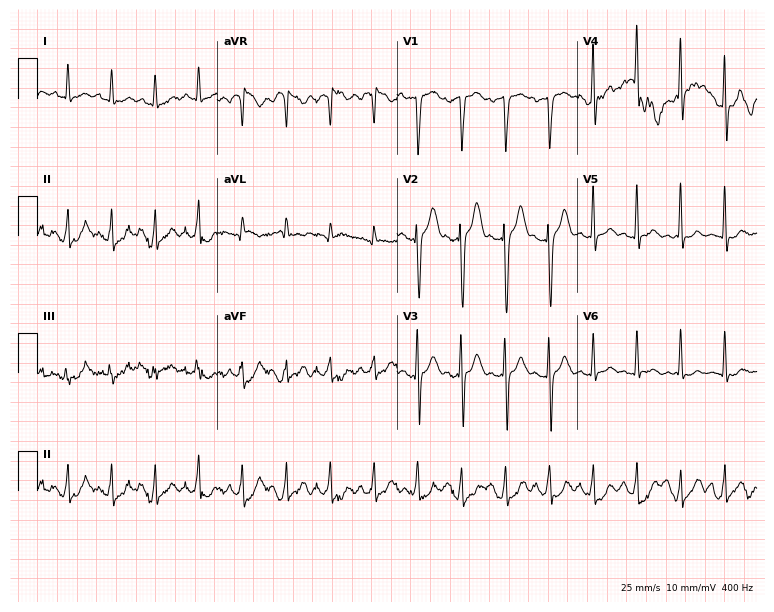
Electrocardiogram (7.3-second recording at 400 Hz), a man, 37 years old. Of the six screened findings (first-degree AV block, right bundle branch block, left bundle branch block, sinus bradycardia, atrial fibrillation, sinus tachycardia), none is recorded.